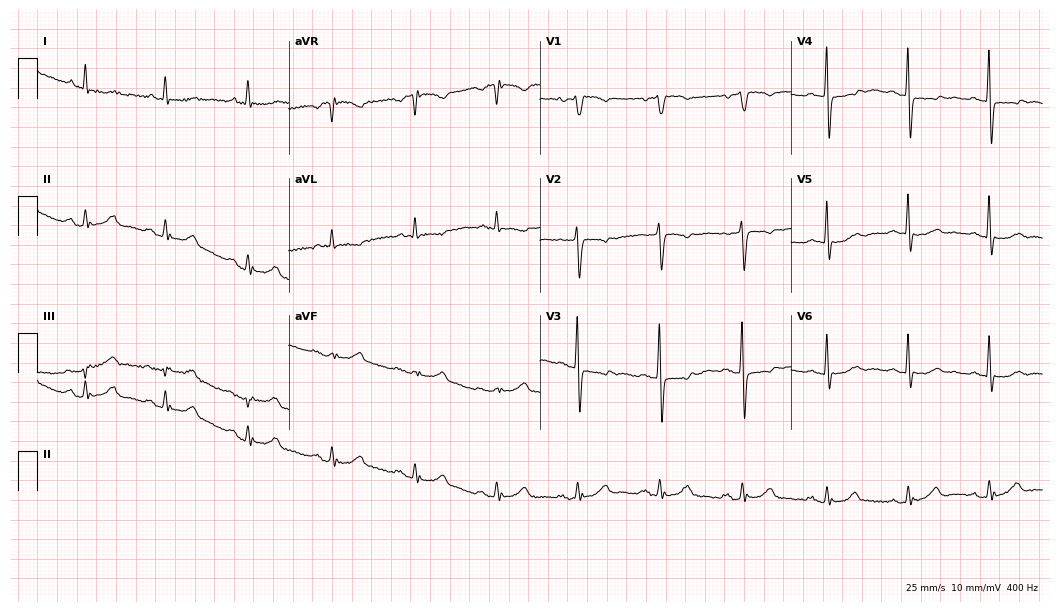
Electrocardiogram, a female patient, 69 years old. Overall reading on record: normal ECG.